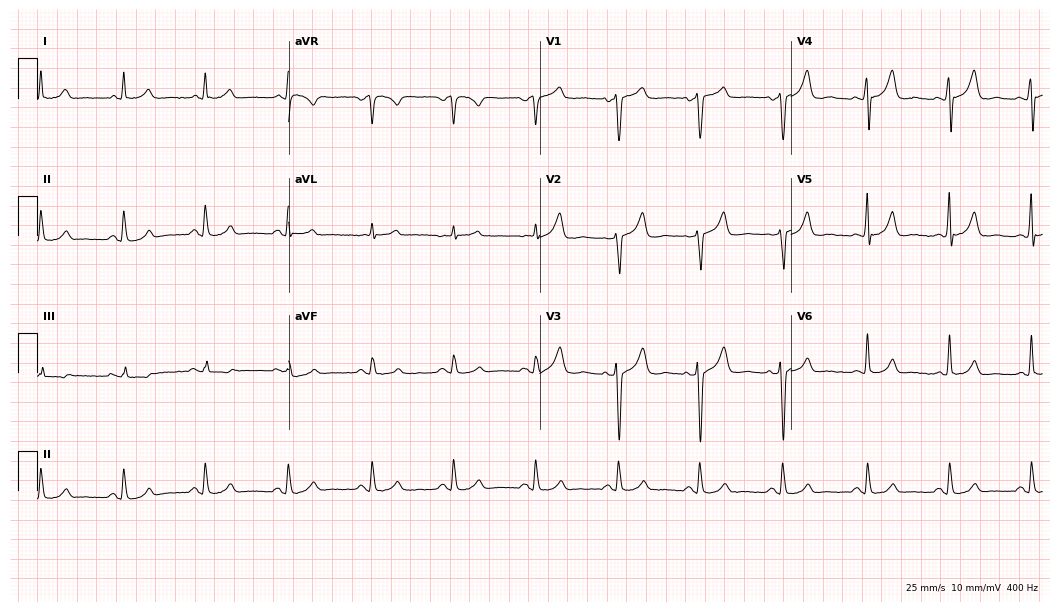
ECG (10.2-second recording at 400 Hz) — a 51-year-old male. Labelled as a normal ECG.